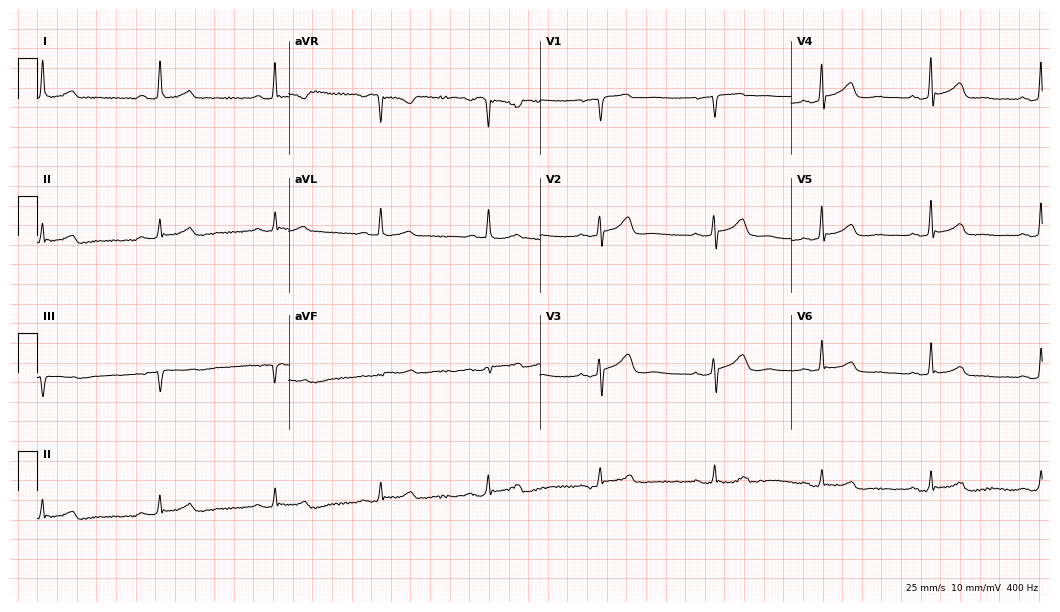
12-lead ECG from a 55-year-old female. Recorded interpretation: within normal limits.